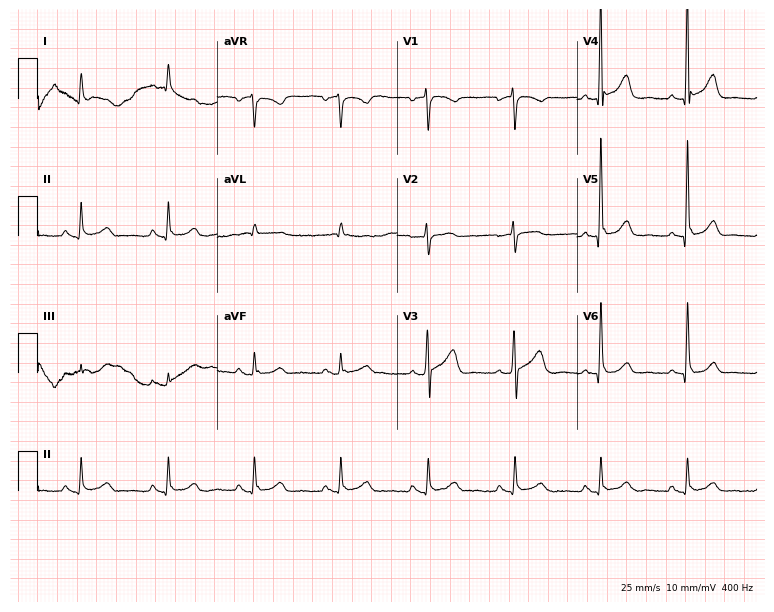
12-lead ECG (7.3-second recording at 400 Hz) from a 64-year-old male patient. Labelled as a normal ECG.